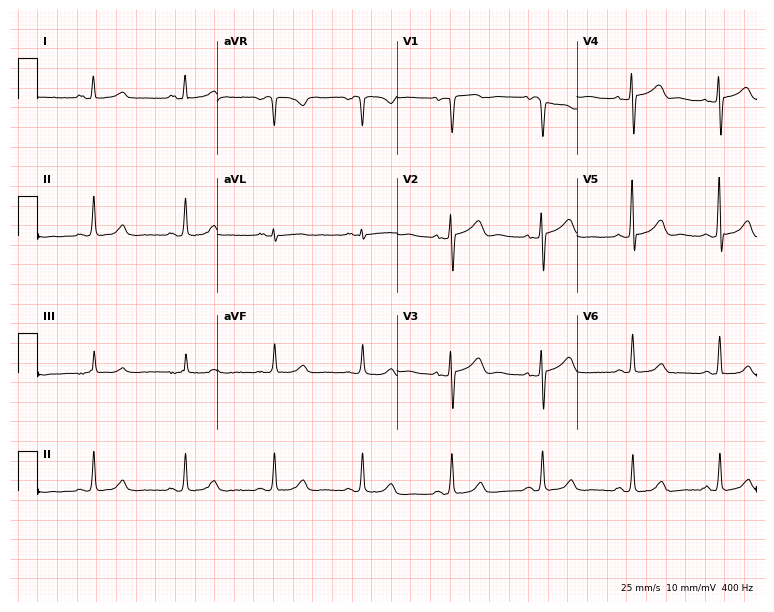
12-lead ECG from a 58-year-old female. Screened for six findings — first-degree AV block, right bundle branch block, left bundle branch block, sinus bradycardia, atrial fibrillation, sinus tachycardia — none is recorded.